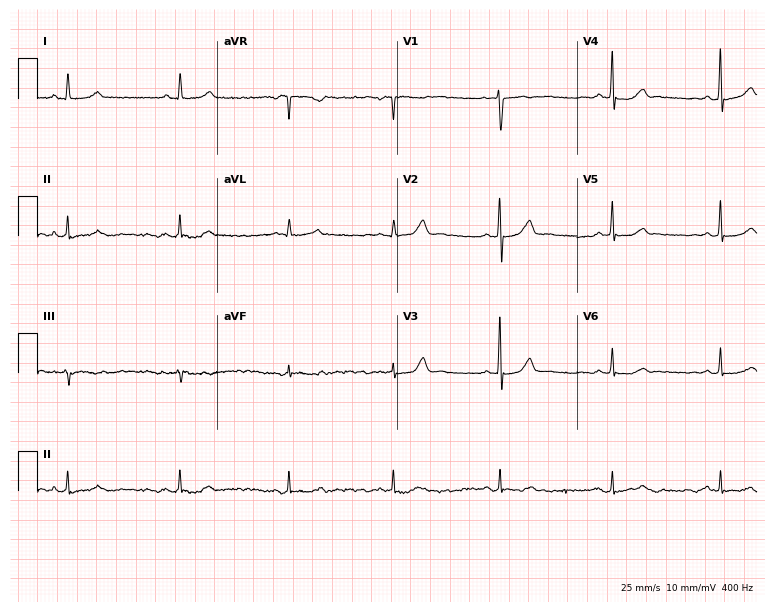
ECG — a 47-year-old woman. Labelled as a normal ECG.